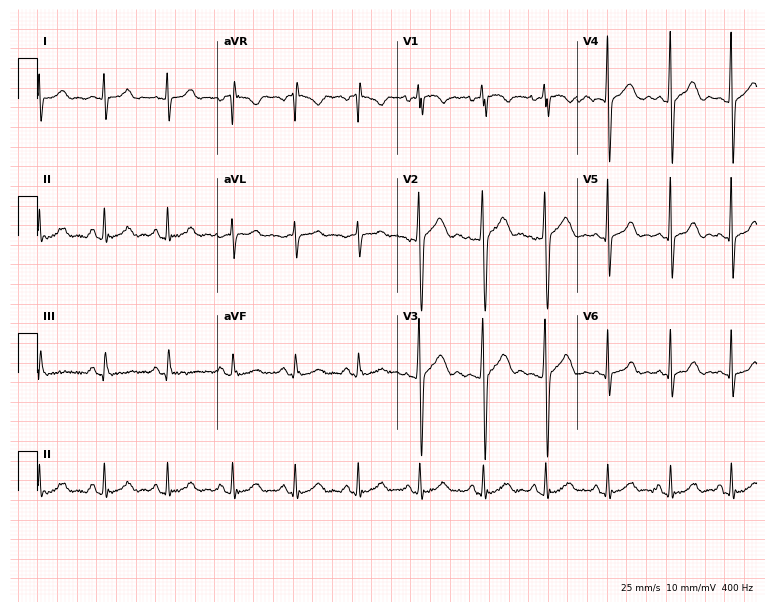
Resting 12-lead electrocardiogram. Patient: a male, 34 years old. None of these six findings is recorded: first-degree AV block, right bundle branch block, left bundle branch block, sinus bradycardia, atrial fibrillation, sinus tachycardia. Other findings, if any, are not listed.